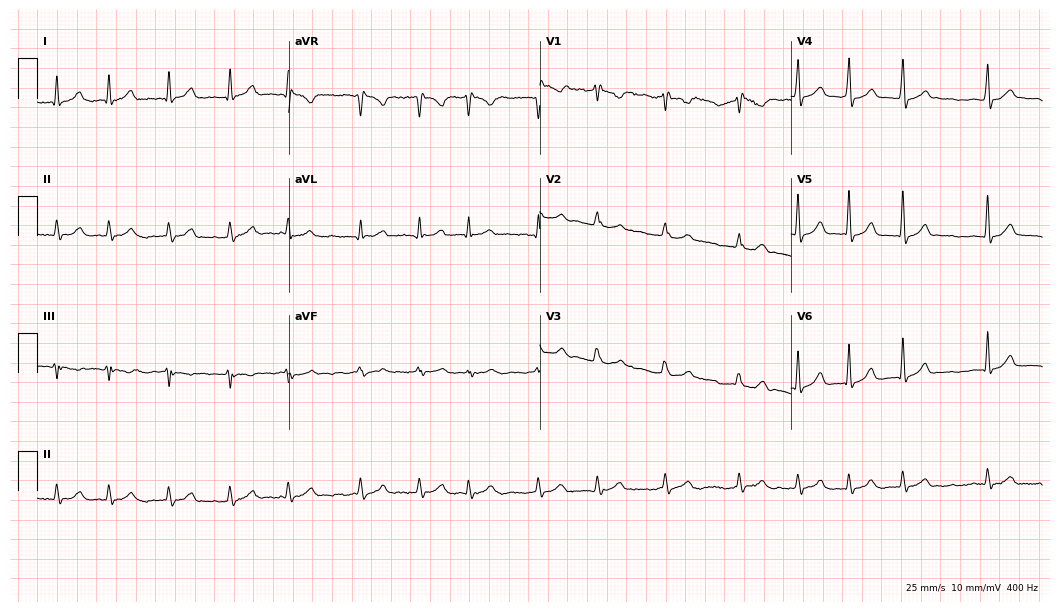
Standard 12-lead ECG recorded from a woman, 84 years old. The tracing shows atrial fibrillation (AF).